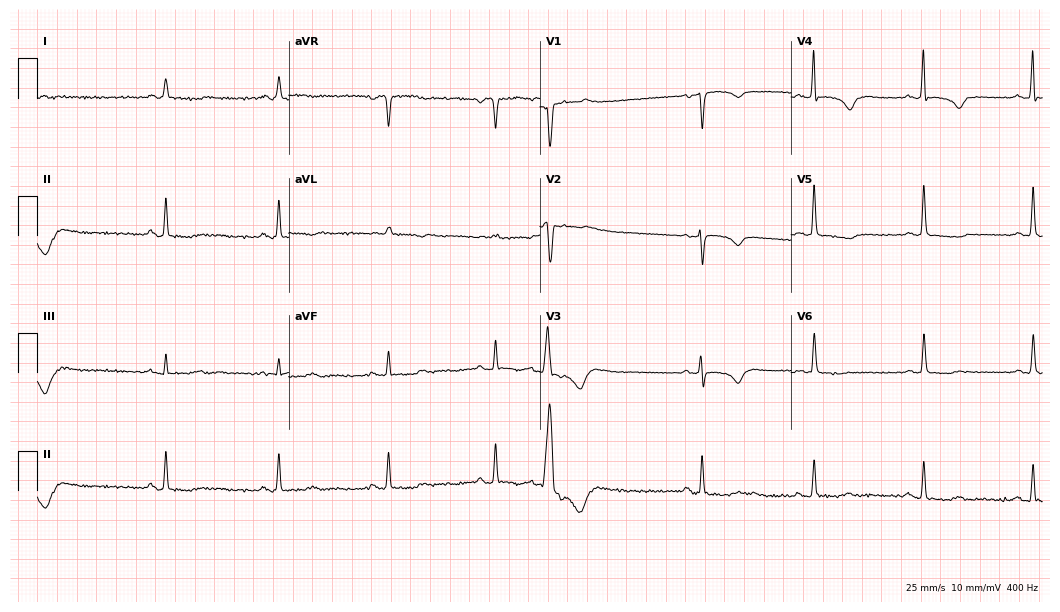
Standard 12-lead ECG recorded from a female patient, 70 years old. None of these six findings is recorded: first-degree AV block, right bundle branch block, left bundle branch block, sinus bradycardia, atrial fibrillation, sinus tachycardia.